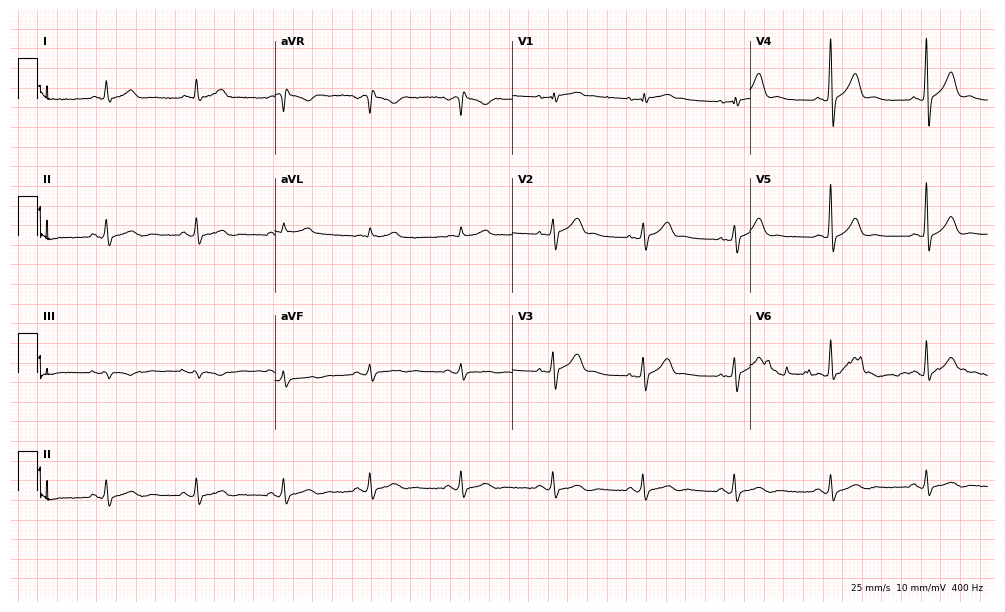
Electrocardiogram, a male, 74 years old. Of the six screened findings (first-degree AV block, right bundle branch block (RBBB), left bundle branch block (LBBB), sinus bradycardia, atrial fibrillation (AF), sinus tachycardia), none is recorded.